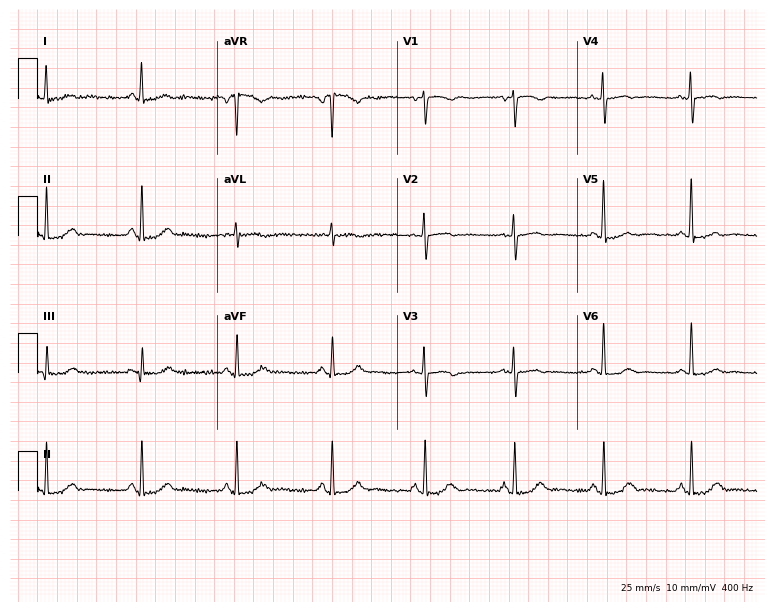
12-lead ECG from a 53-year-old female. No first-degree AV block, right bundle branch block, left bundle branch block, sinus bradycardia, atrial fibrillation or sinus tachycardia recorded for this tracing. Other findings, if any, are not listed.